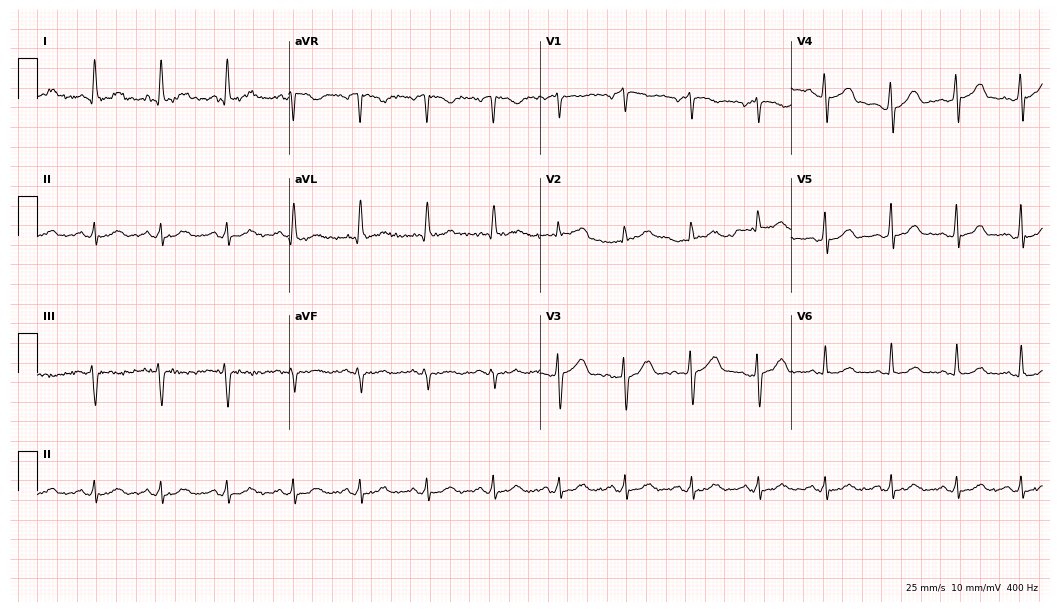
ECG (10.2-second recording at 400 Hz) — a man, 63 years old. Labelled as a normal ECG.